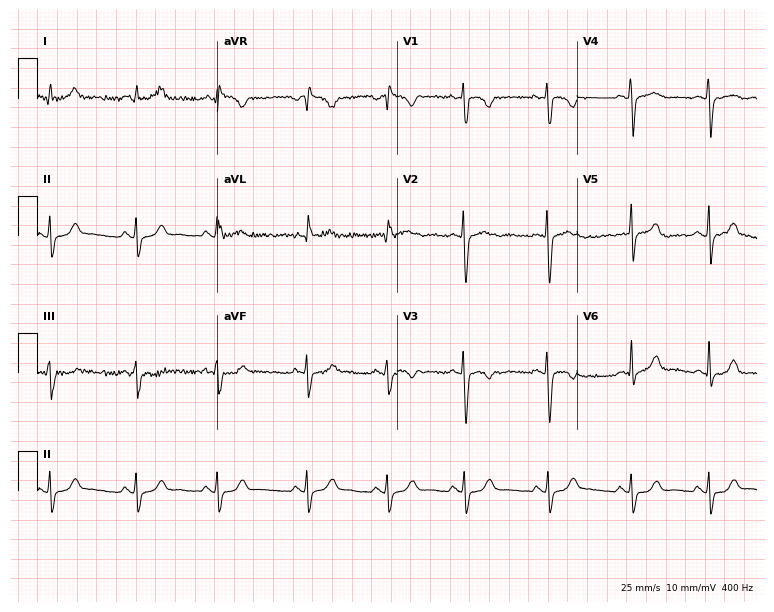
12-lead ECG from a 25-year-old female (7.3-second recording at 400 Hz). No first-degree AV block, right bundle branch block, left bundle branch block, sinus bradycardia, atrial fibrillation or sinus tachycardia recorded for this tracing.